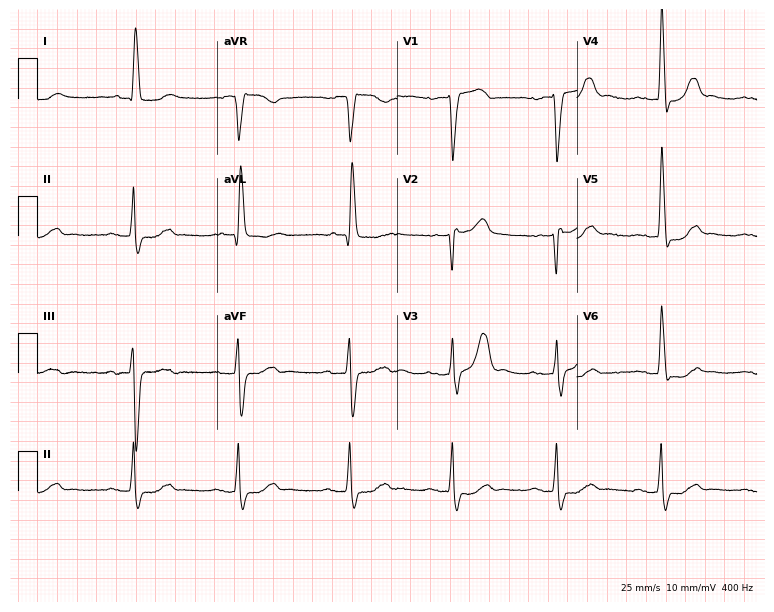
12-lead ECG from a 79-year-old female patient (7.3-second recording at 400 Hz). No first-degree AV block, right bundle branch block, left bundle branch block, sinus bradycardia, atrial fibrillation or sinus tachycardia recorded for this tracing.